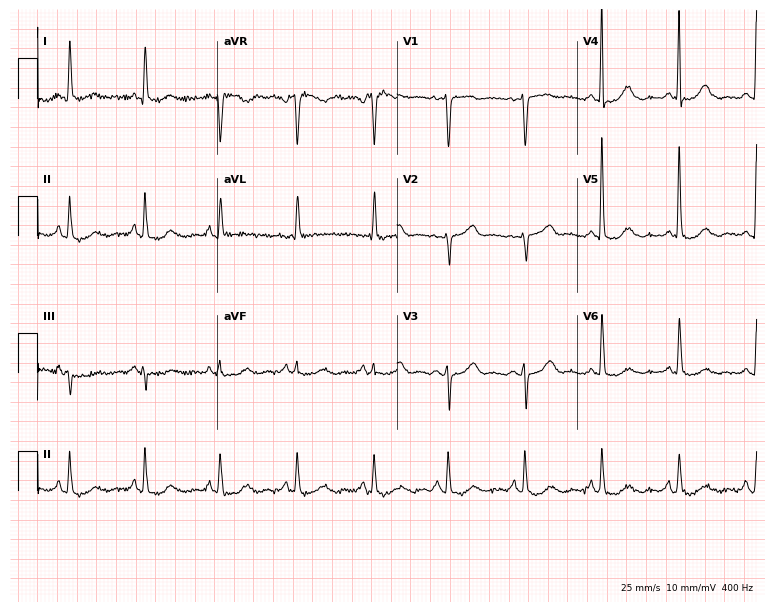
12-lead ECG from a woman, 70 years old. No first-degree AV block, right bundle branch block, left bundle branch block, sinus bradycardia, atrial fibrillation or sinus tachycardia recorded for this tracing. Findings outside these six are not listed.